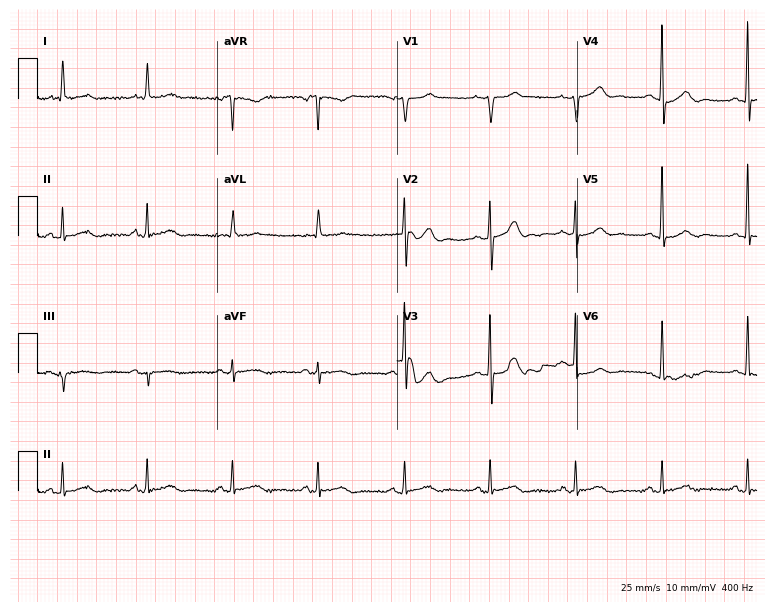
Standard 12-lead ECG recorded from a 67-year-old man (7.3-second recording at 400 Hz). Read as a normal ECG.